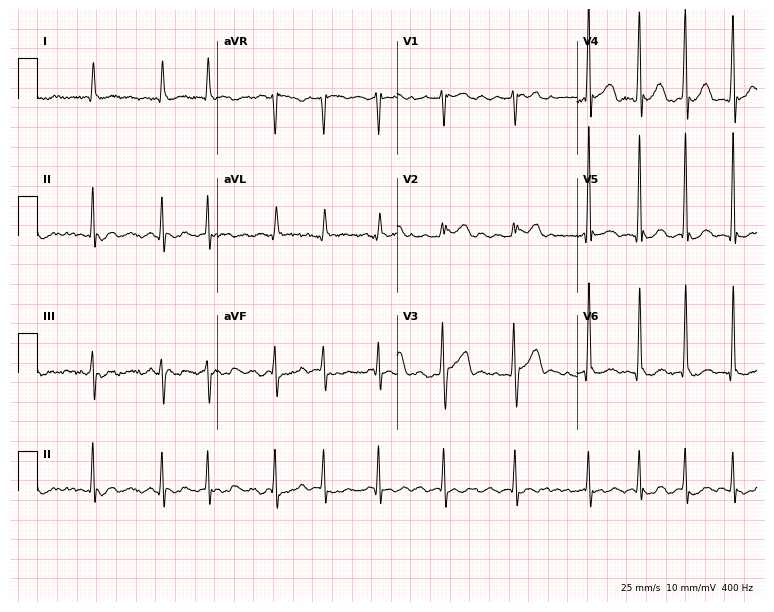
ECG — a male, 67 years old. Findings include atrial fibrillation (AF).